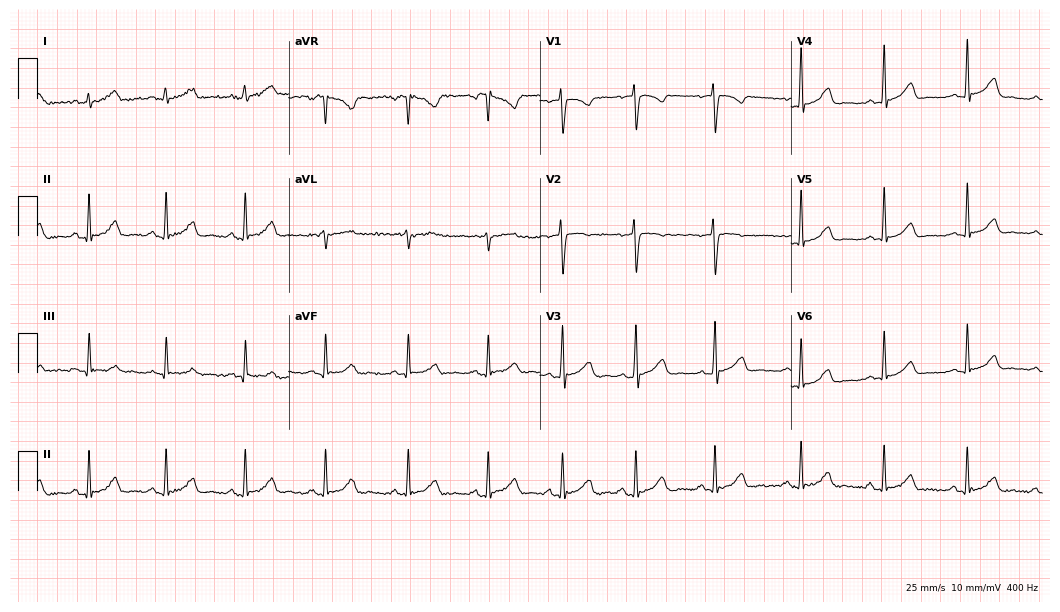
Standard 12-lead ECG recorded from a female, 35 years old (10.2-second recording at 400 Hz). None of these six findings is recorded: first-degree AV block, right bundle branch block (RBBB), left bundle branch block (LBBB), sinus bradycardia, atrial fibrillation (AF), sinus tachycardia.